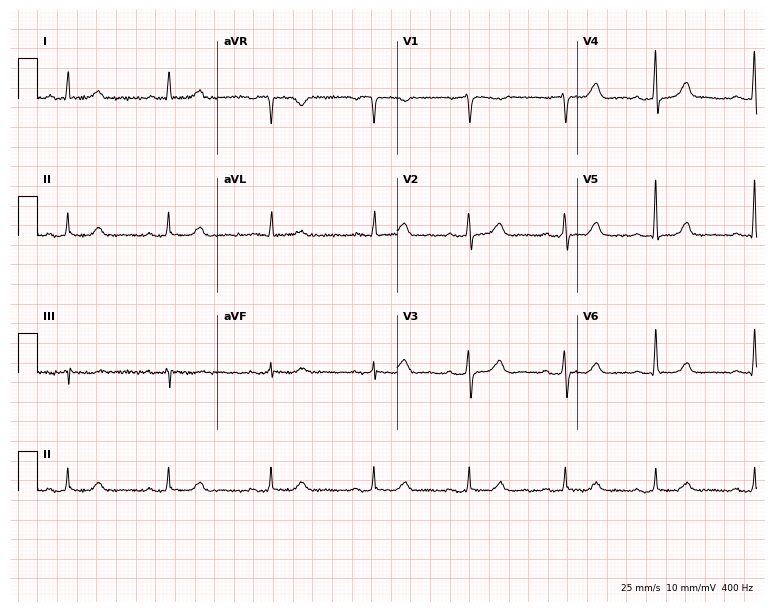
ECG — a female patient, 76 years old. Labelled as a normal ECG.